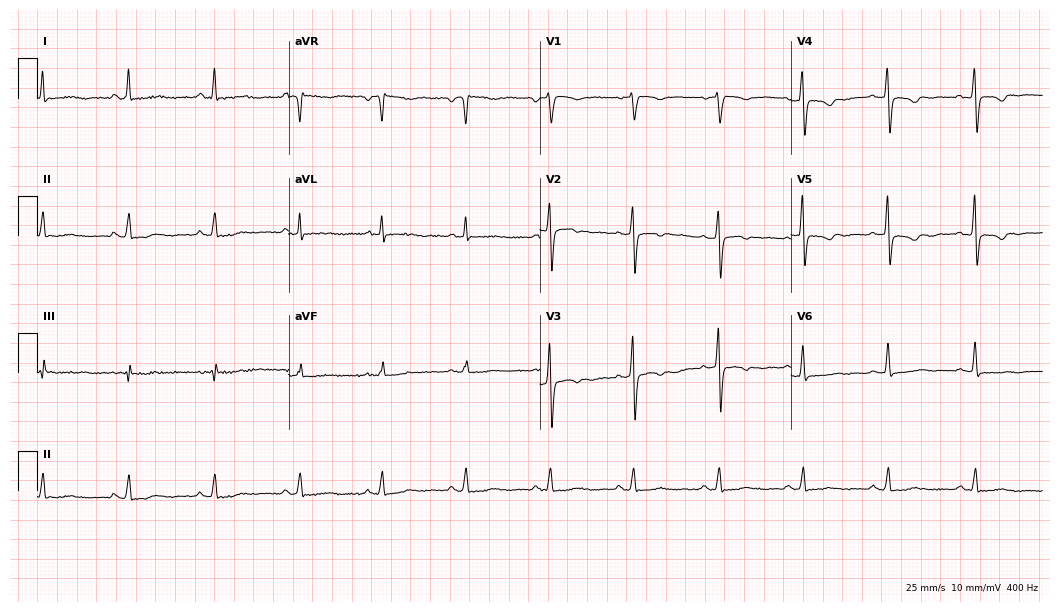
12-lead ECG from a 55-year-old woman. No first-degree AV block, right bundle branch block (RBBB), left bundle branch block (LBBB), sinus bradycardia, atrial fibrillation (AF) or sinus tachycardia recorded for this tracing. Findings outside these six are not listed.